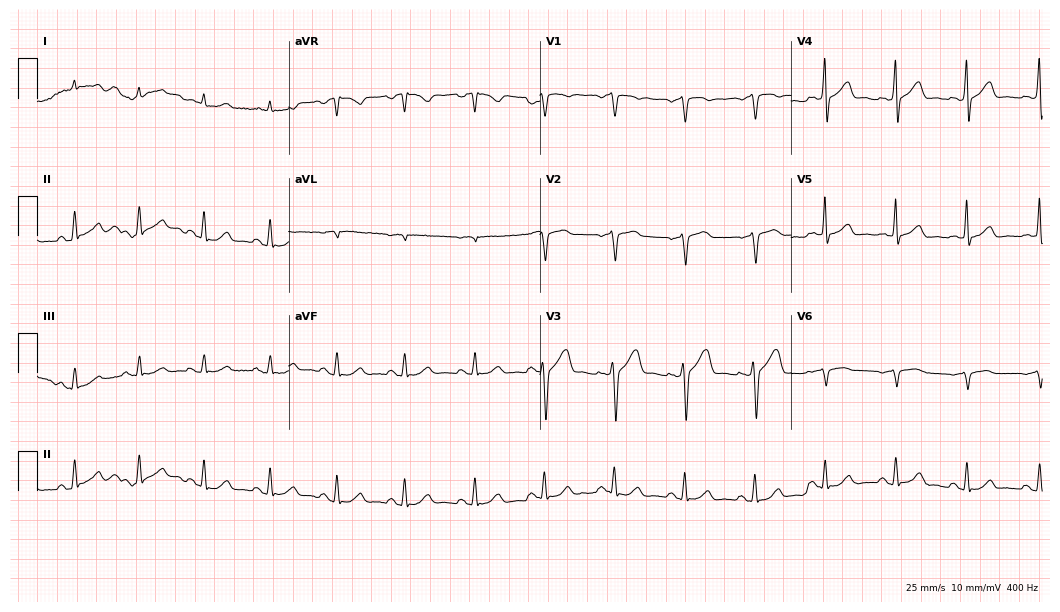
Standard 12-lead ECG recorded from a 62-year-old male. Read as a normal ECG.